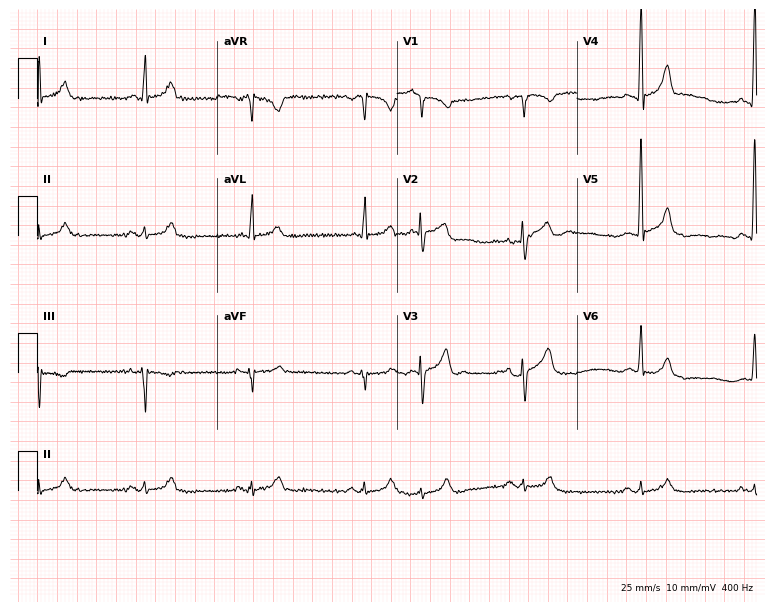
ECG — a male, 75 years old. Labelled as a normal ECG.